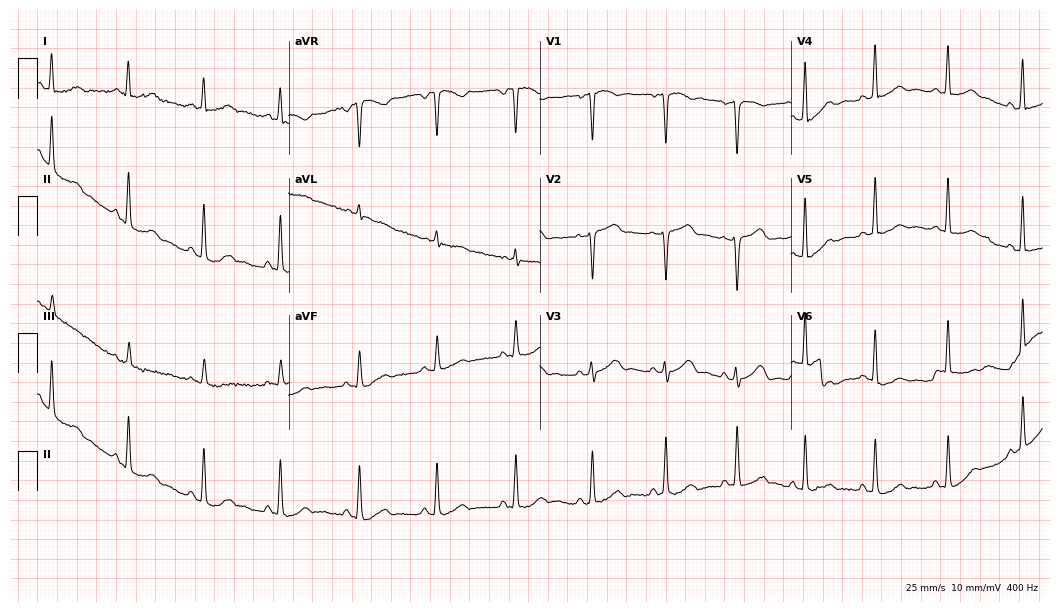
Standard 12-lead ECG recorded from a 50-year-old female (10.2-second recording at 400 Hz). Read as a normal ECG.